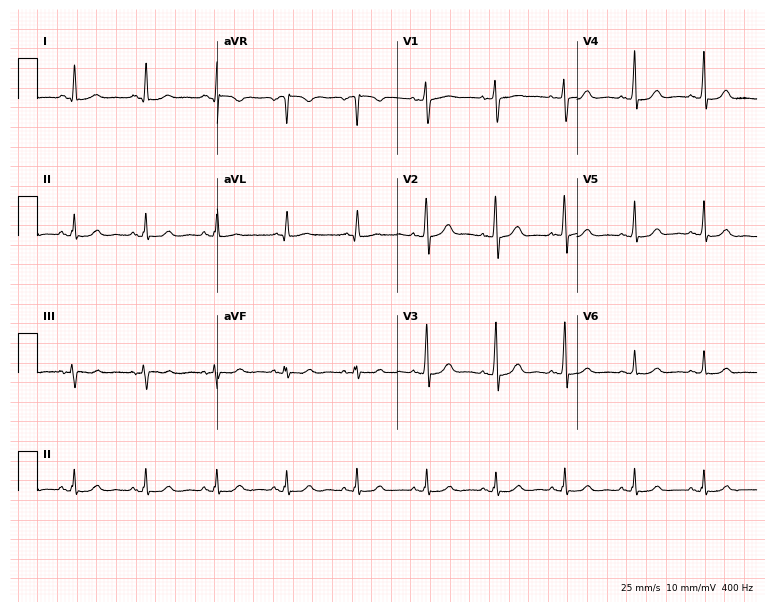
12-lead ECG from a woman, 41 years old. No first-degree AV block, right bundle branch block (RBBB), left bundle branch block (LBBB), sinus bradycardia, atrial fibrillation (AF) or sinus tachycardia recorded for this tracing.